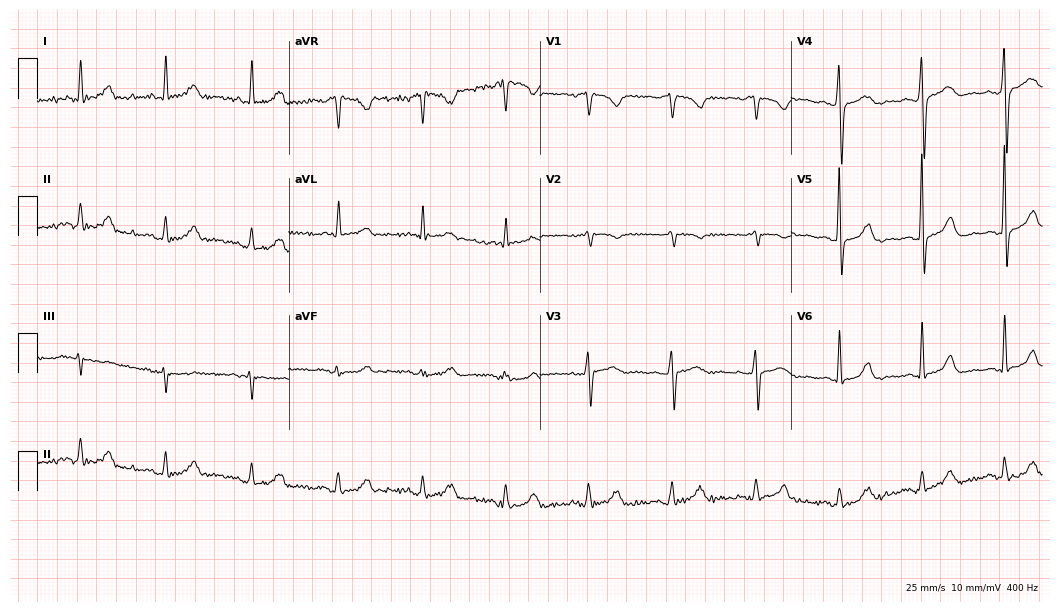
ECG — a woman, 64 years old. Screened for six findings — first-degree AV block, right bundle branch block, left bundle branch block, sinus bradycardia, atrial fibrillation, sinus tachycardia — none is recorded.